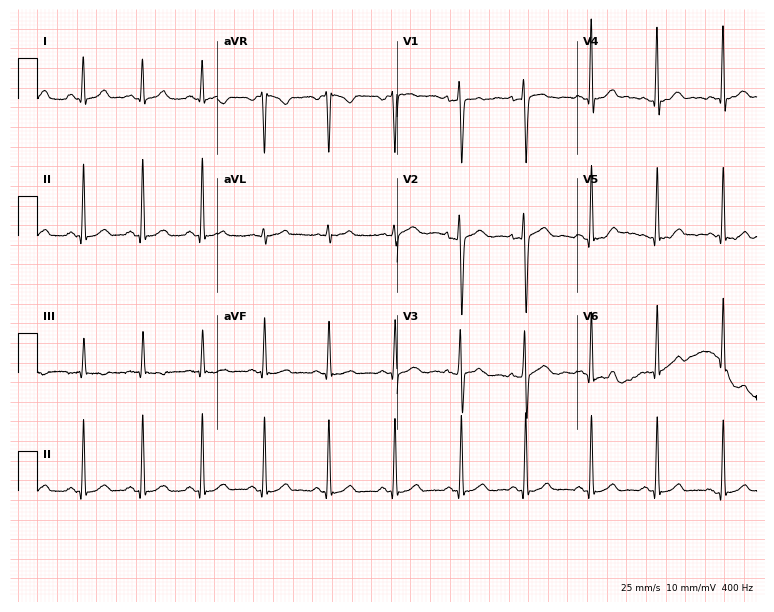
ECG — a female, 24 years old. Screened for six findings — first-degree AV block, right bundle branch block, left bundle branch block, sinus bradycardia, atrial fibrillation, sinus tachycardia — none is recorded. Other findings, if any, are not listed.